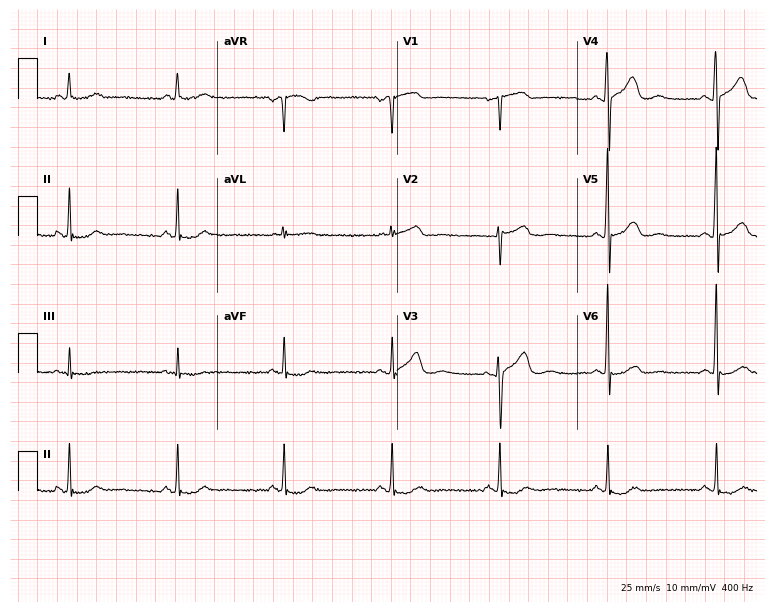
12-lead ECG from a 70-year-old man (7.3-second recording at 400 Hz). Recorded interpretation: within normal limits.